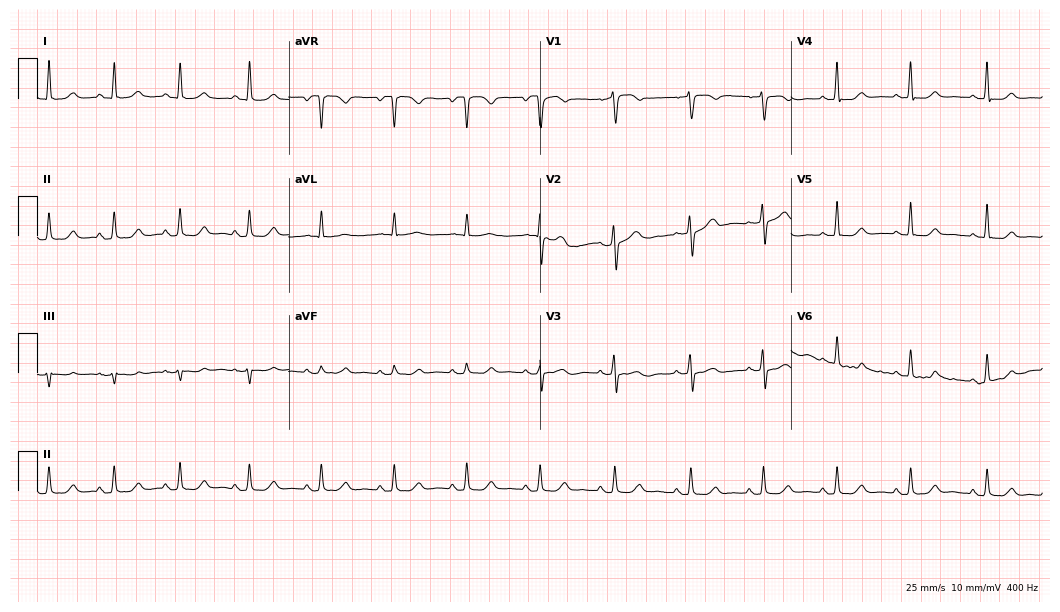
Standard 12-lead ECG recorded from a female, 53 years old. Read as a normal ECG.